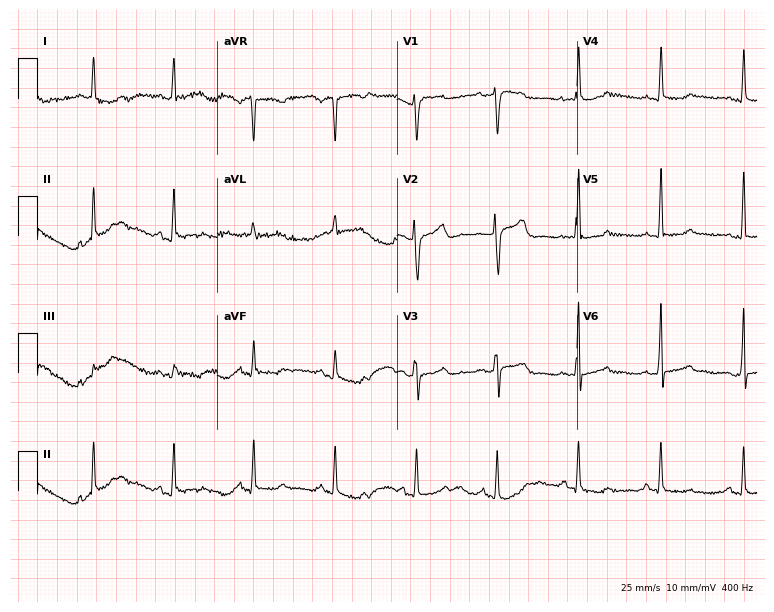
12-lead ECG from a woman, 67 years old. No first-degree AV block, right bundle branch block (RBBB), left bundle branch block (LBBB), sinus bradycardia, atrial fibrillation (AF) or sinus tachycardia recorded for this tracing. Other findings, if any, are not listed.